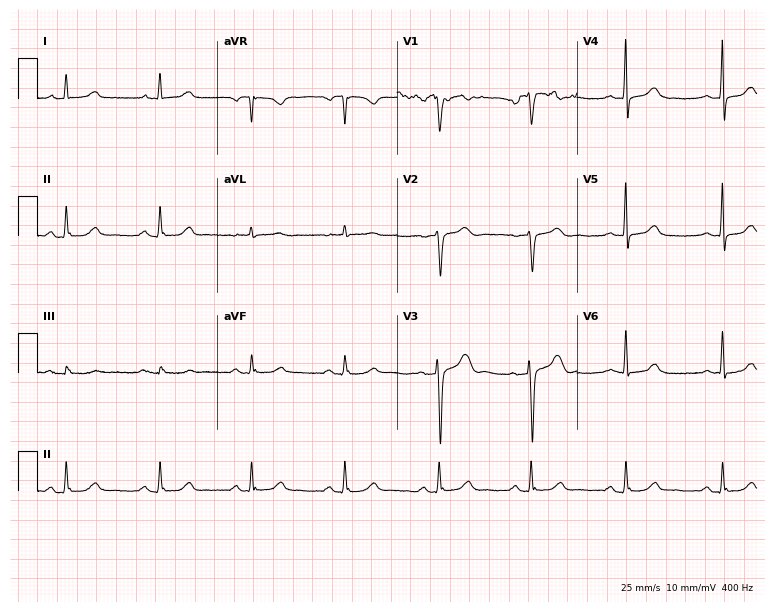
12-lead ECG from a female, 56 years old. Labelled as a normal ECG.